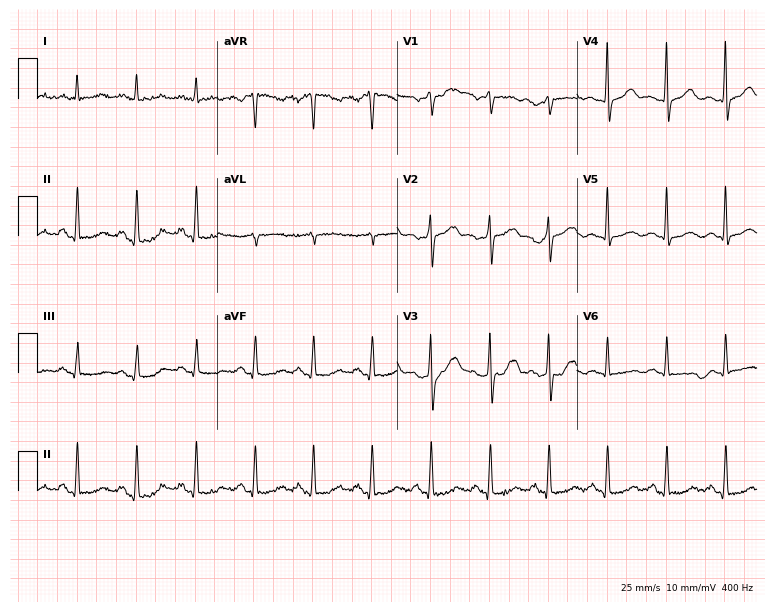
Resting 12-lead electrocardiogram. Patient: a male, 59 years old. None of these six findings is recorded: first-degree AV block, right bundle branch block, left bundle branch block, sinus bradycardia, atrial fibrillation, sinus tachycardia.